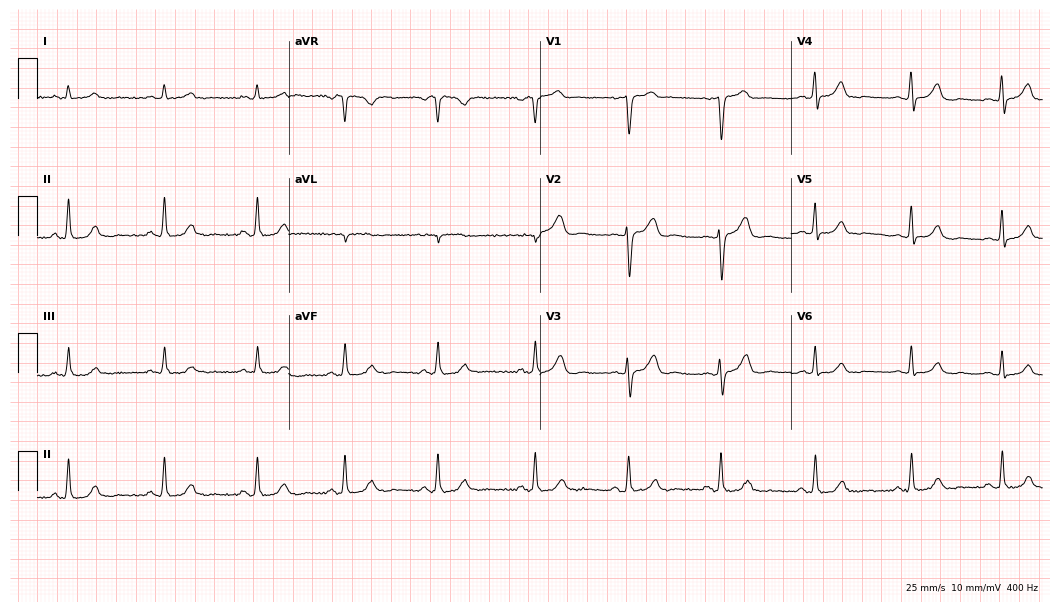
Resting 12-lead electrocardiogram. Patient: a female, 31 years old. Read as a normal ECG.